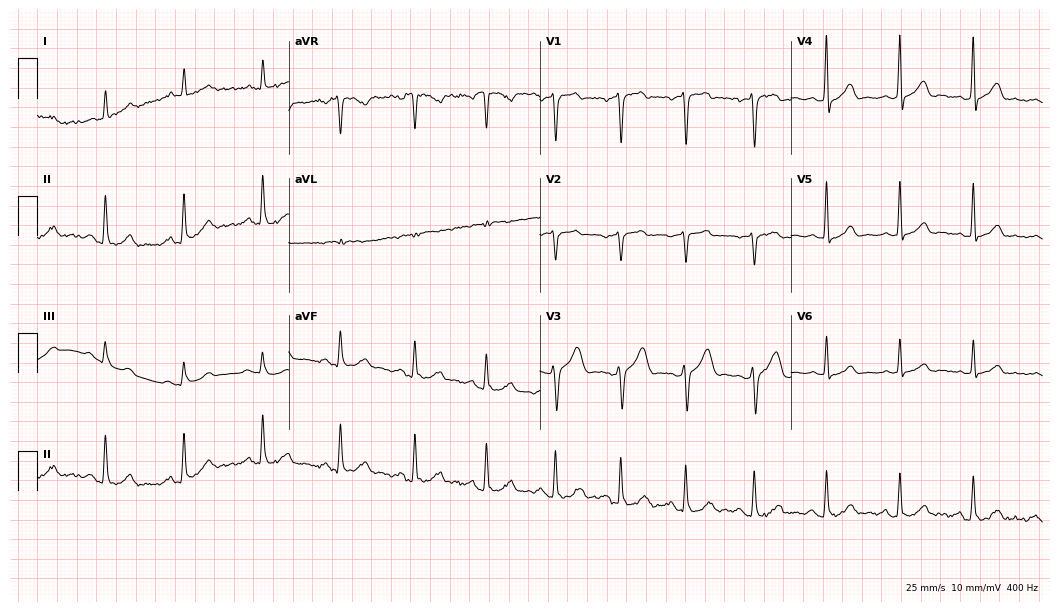
12-lead ECG from a 39-year-old man (10.2-second recording at 400 Hz). Recorded interpretation: within normal limits.